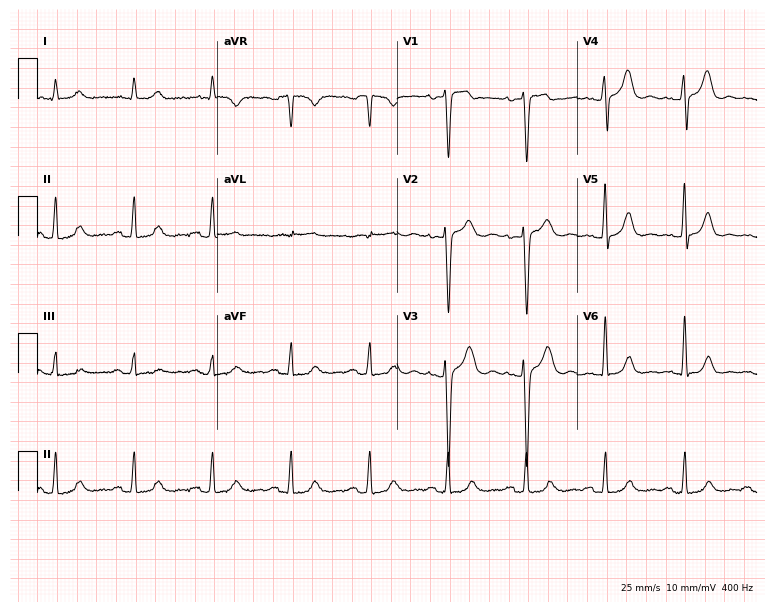
ECG (7.3-second recording at 400 Hz) — a male, 72 years old. Screened for six findings — first-degree AV block, right bundle branch block, left bundle branch block, sinus bradycardia, atrial fibrillation, sinus tachycardia — none is recorded. Findings outside these six are not listed.